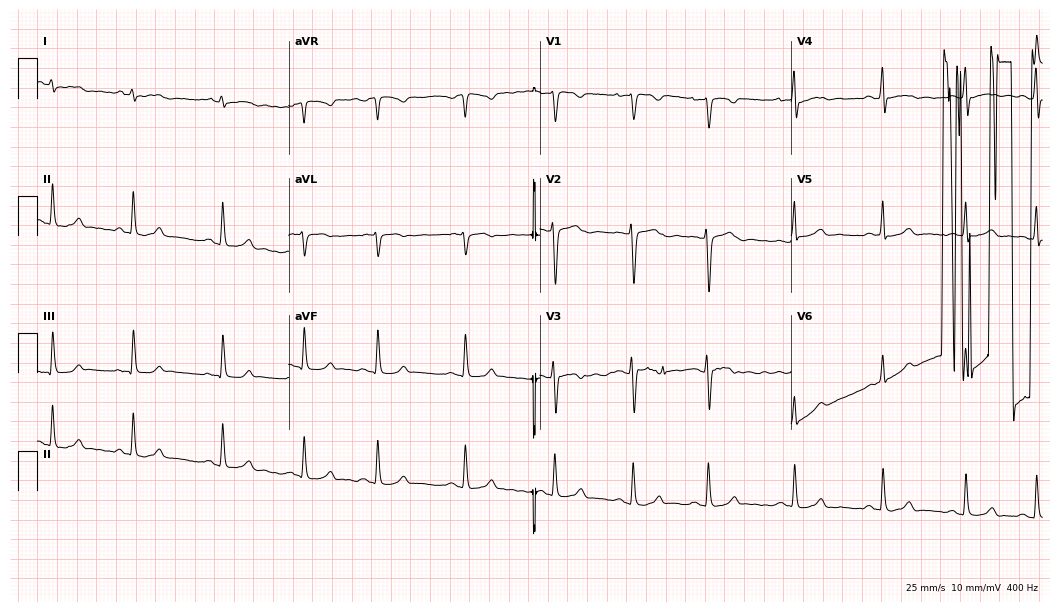
12-lead ECG from a female patient, 20 years old (10.2-second recording at 400 Hz). No first-degree AV block, right bundle branch block (RBBB), left bundle branch block (LBBB), sinus bradycardia, atrial fibrillation (AF) or sinus tachycardia recorded for this tracing. Other findings, if any, are not listed.